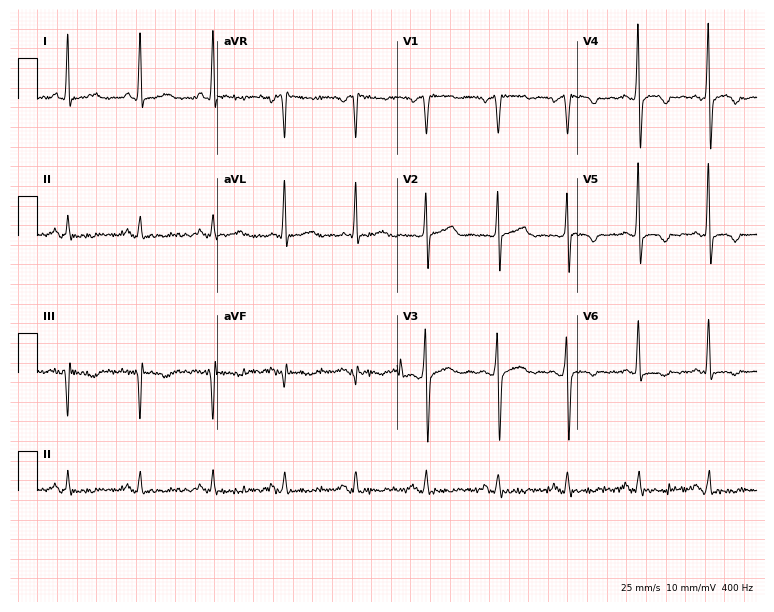
12-lead ECG (7.3-second recording at 400 Hz) from a male patient, 58 years old. Screened for six findings — first-degree AV block, right bundle branch block, left bundle branch block, sinus bradycardia, atrial fibrillation, sinus tachycardia — none is recorded.